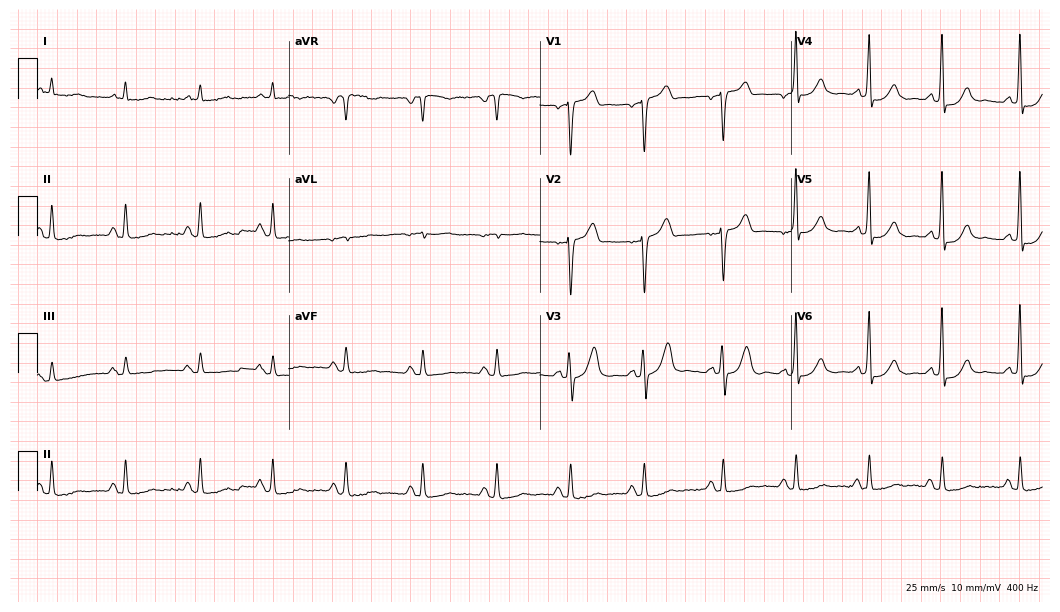
Resting 12-lead electrocardiogram (10.2-second recording at 400 Hz). Patient: a 78-year-old male. None of these six findings is recorded: first-degree AV block, right bundle branch block, left bundle branch block, sinus bradycardia, atrial fibrillation, sinus tachycardia.